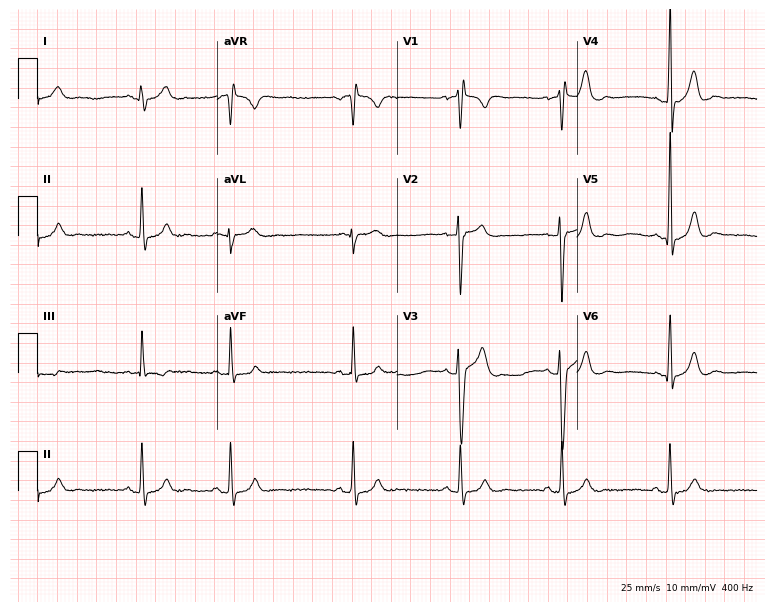
Resting 12-lead electrocardiogram. Patient: a man, 18 years old. Read as a normal ECG.